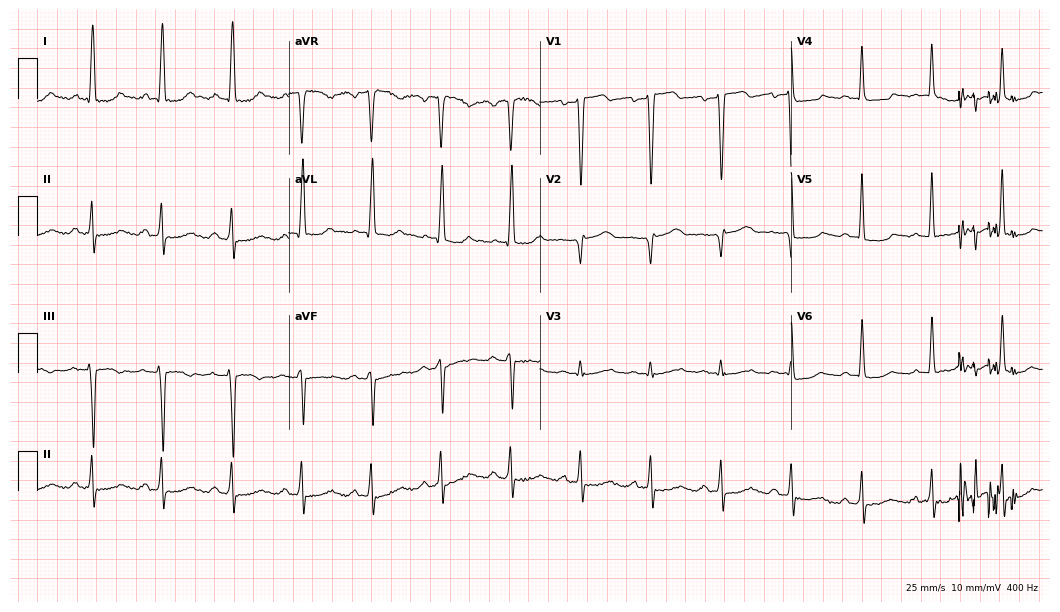
Standard 12-lead ECG recorded from a 71-year-old female patient. None of these six findings is recorded: first-degree AV block, right bundle branch block, left bundle branch block, sinus bradycardia, atrial fibrillation, sinus tachycardia. Only these six findings were labelled.